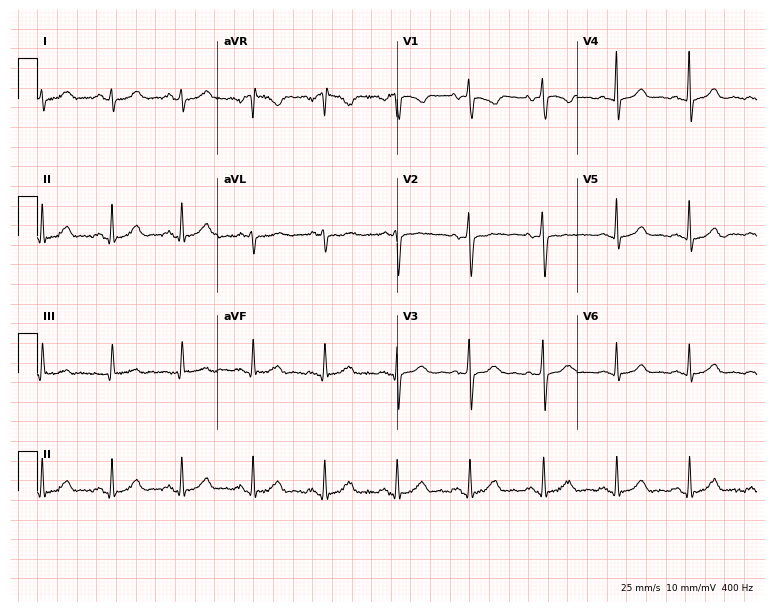
ECG (7.3-second recording at 400 Hz) — a woman, 62 years old. Labelled as a normal ECG.